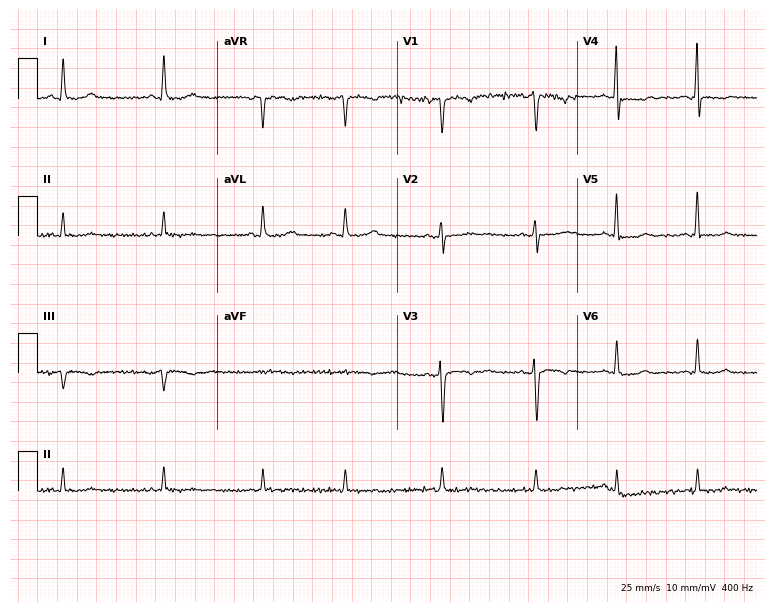
Electrocardiogram, a woman, 21 years old. Of the six screened findings (first-degree AV block, right bundle branch block (RBBB), left bundle branch block (LBBB), sinus bradycardia, atrial fibrillation (AF), sinus tachycardia), none is recorded.